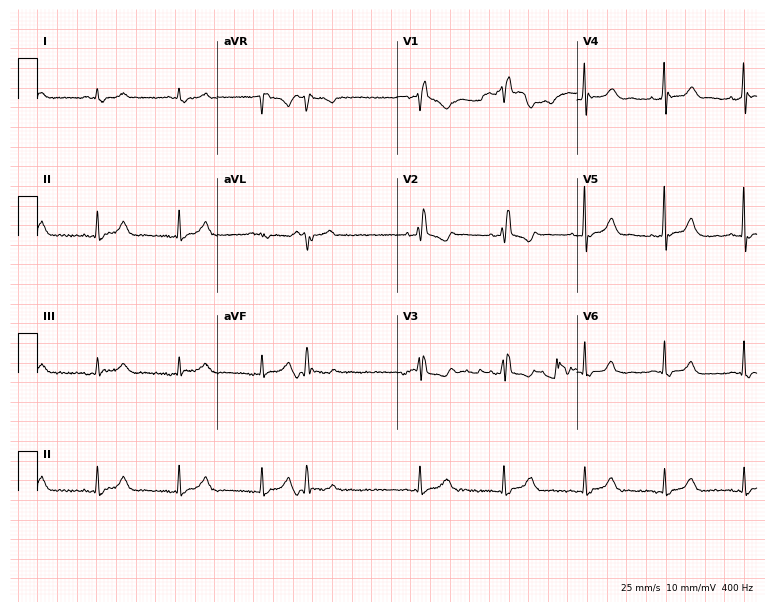
12-lead ECG from a female, 76 years old. Findings include right bundle branch block.